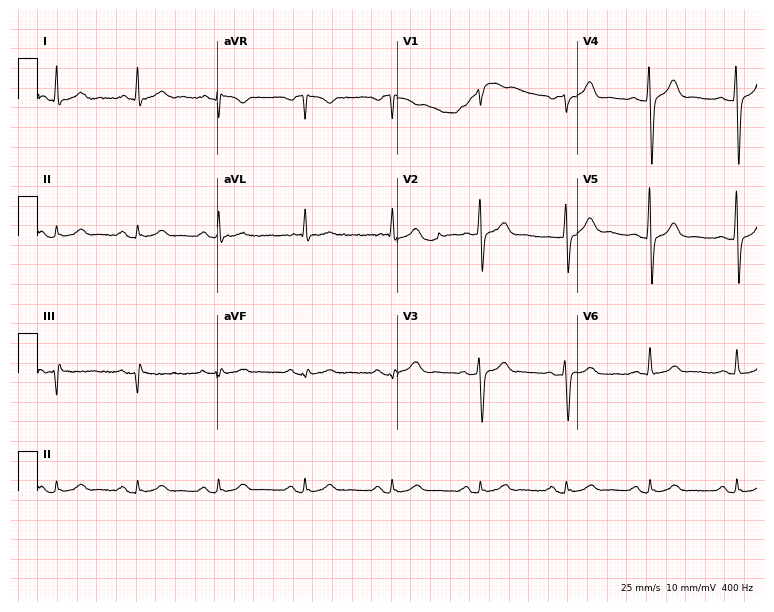
Standard 12-lead ECG recorded from a male patient, 60 years old (7.3-second recording at 400 Hz). None of these six findings is recorded: first-degree AV block, right bundle branch block (RBBB), left bundle branch block (LBBB), sinus bradycardia, atrial fibrillation (AF), sinus tachycardia. Other findings, if any, are not listed.